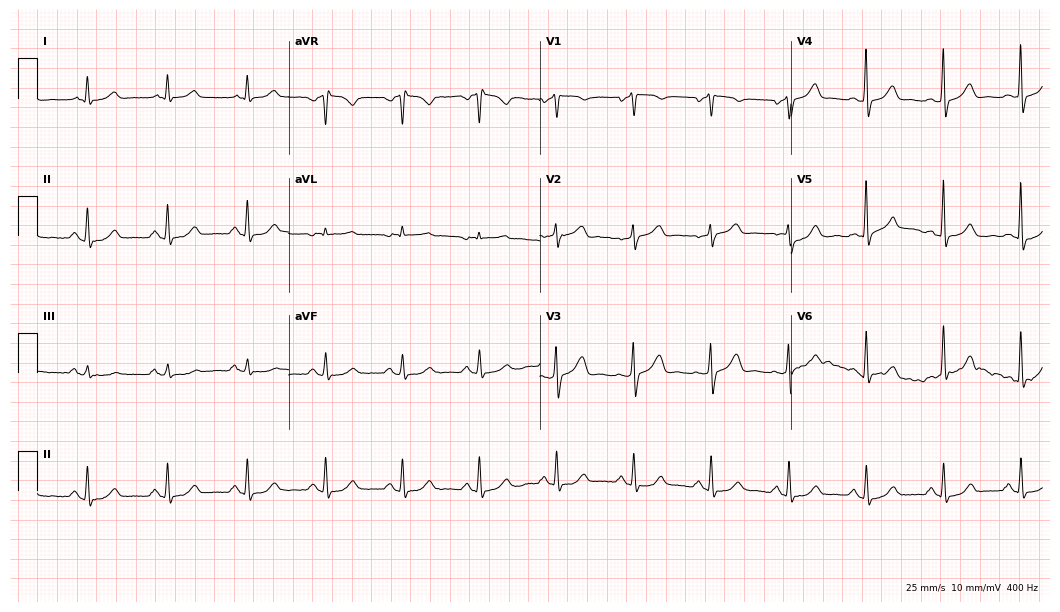
Standard 12-lead ECG recorded from a male, 66 years old. Read as a normal ECG.